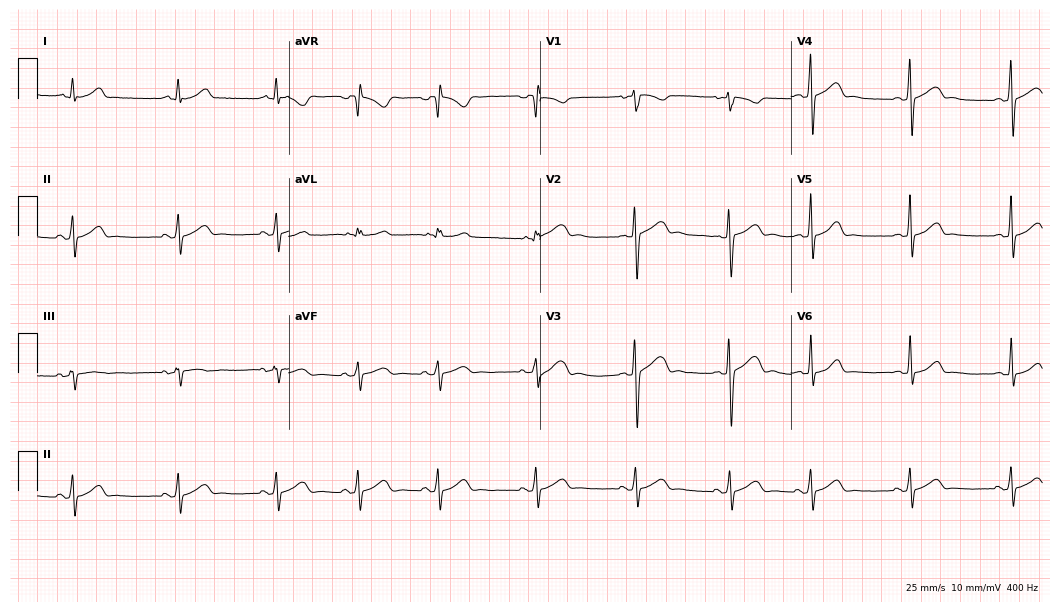
12-lead ECG (10.2-second recording at 400 Hz) from a female patient, 19 years old. Labelled as a normal ECG.